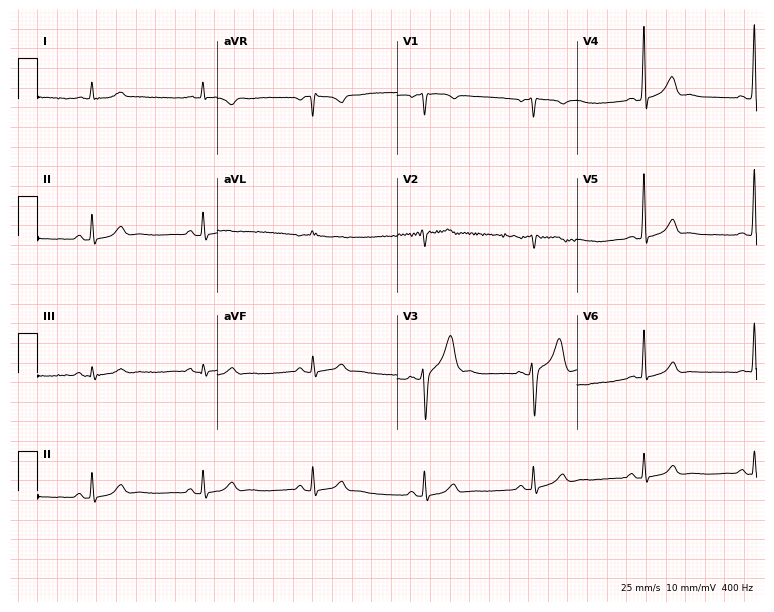
12-lead ECG from a 50-year-old male. Screened for six findings — first-degree AV block, right bundle branch block, left bundle branch block, sinus bradycardia, atrial fibrillation, sinus tachycardia — none is recorded.